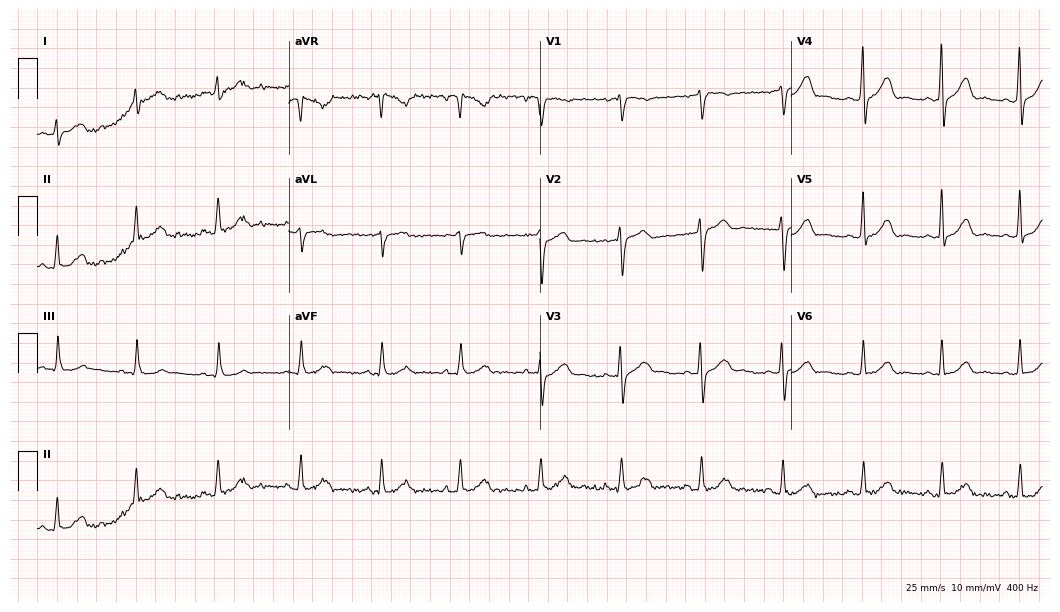
12-lead ECG from a 37-year-old woman (10.2-second recording at 400 Hz). No first-degree AV block, right bundle branch block, left bundle branch block, sinus bradycardia, atrial fibrillation or sinus tachycardia recorded for this tracing.